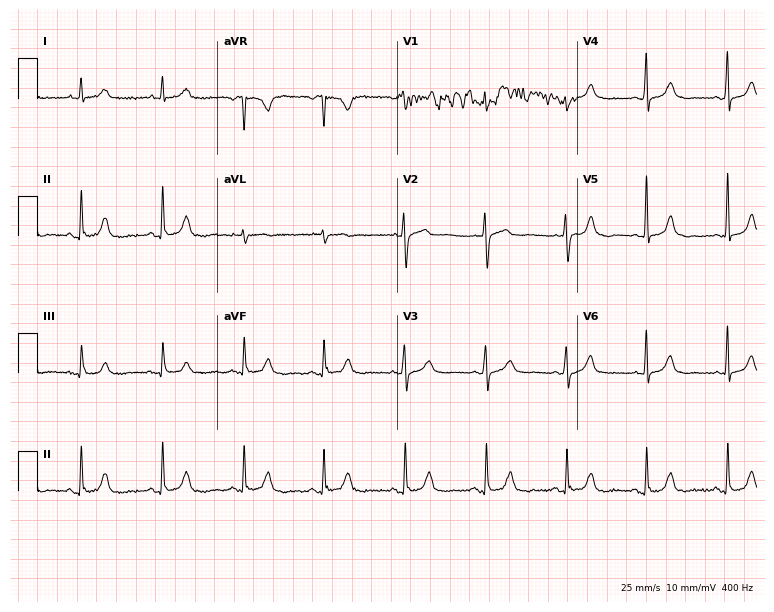
12-lead ECG from a 65-year-old woman (7.3-second recording at 400 Hz). Recorded interpretation: within normal limits.